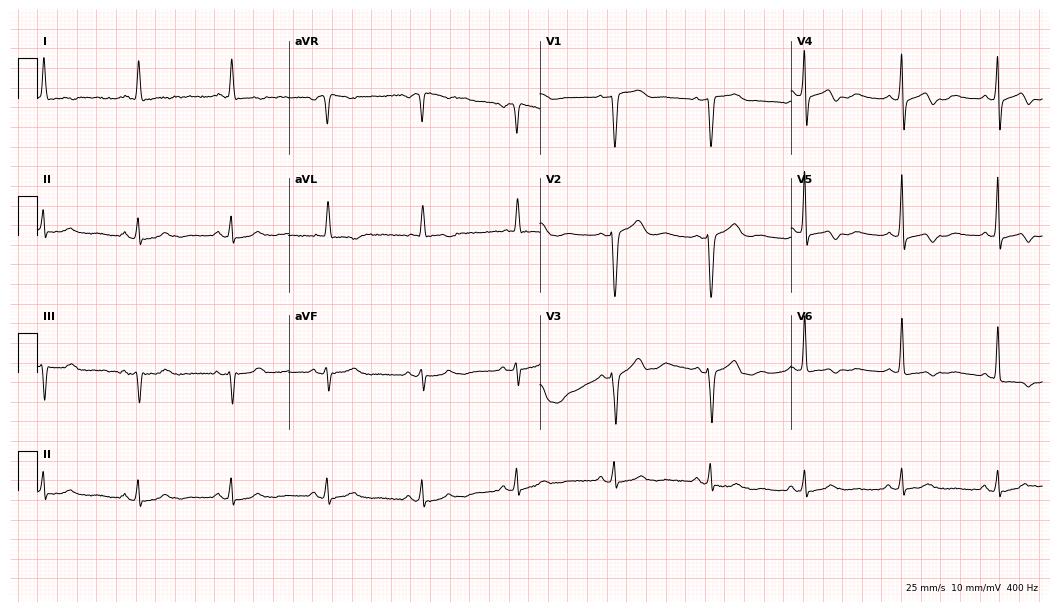
Standard 12-lead ECG recorded from an 80-year-old female patient (10.2-second recording at 400 Hz). Read as a normal ECG.